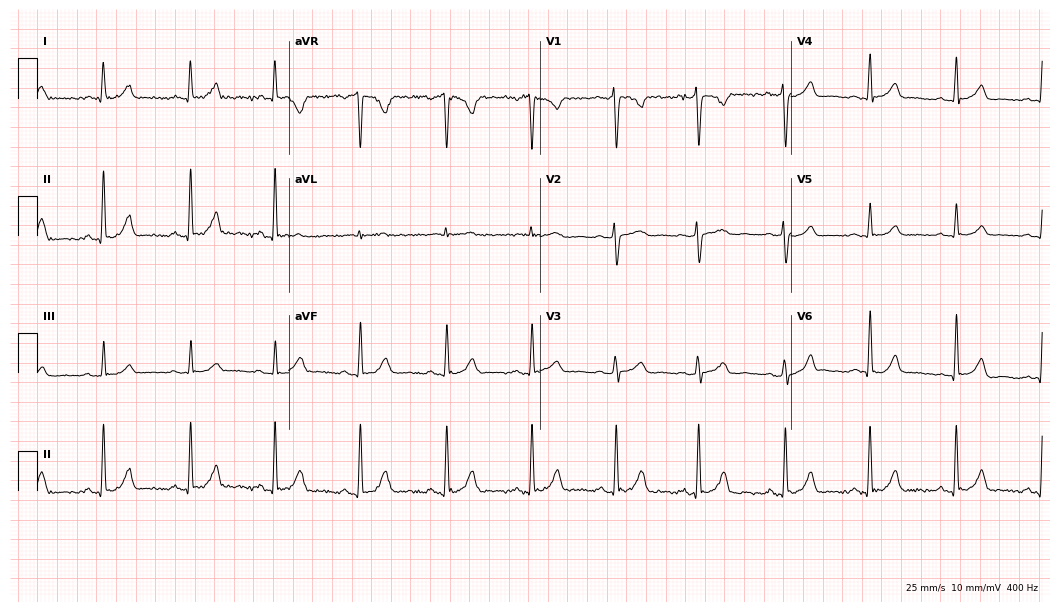
Standard 12-lead ECG recorded from a woman, 46 years old. Read as a normal ECG.